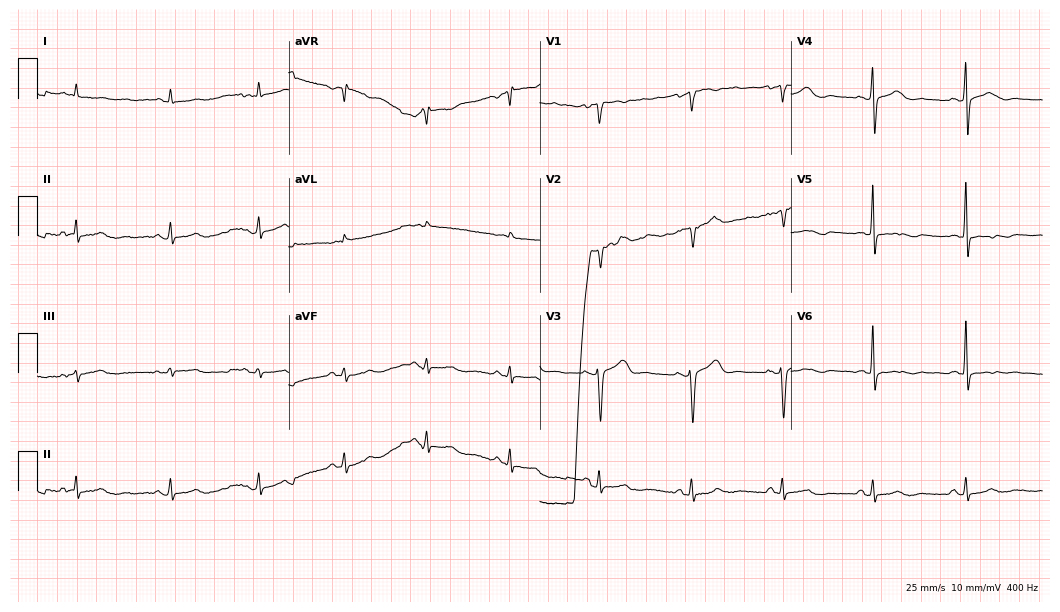
12-lead ECG from a 73-year-old man. No first-degree AV block, right bundle branch block (RBBB), left bundle branch block (LBBB), sinus bradycardia, atrial fibrillation (AF) or sinus tachycardia recorded for this tracing. Only these six findings were labelled.